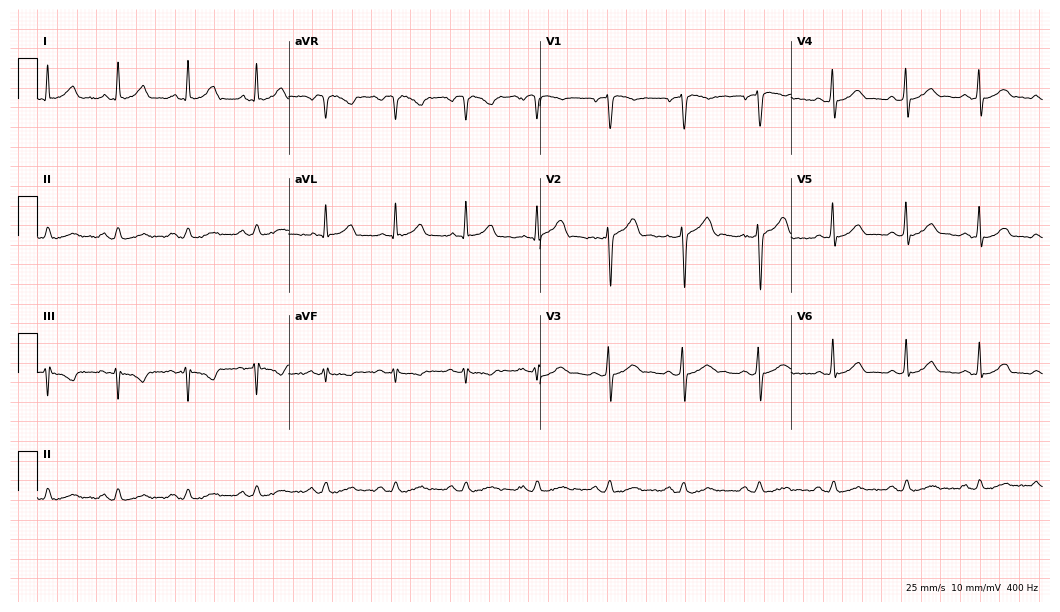
ECG (10.2-second recording at 400 Hz) — a 46-year-old male patient. Labelled as a normal ECG.